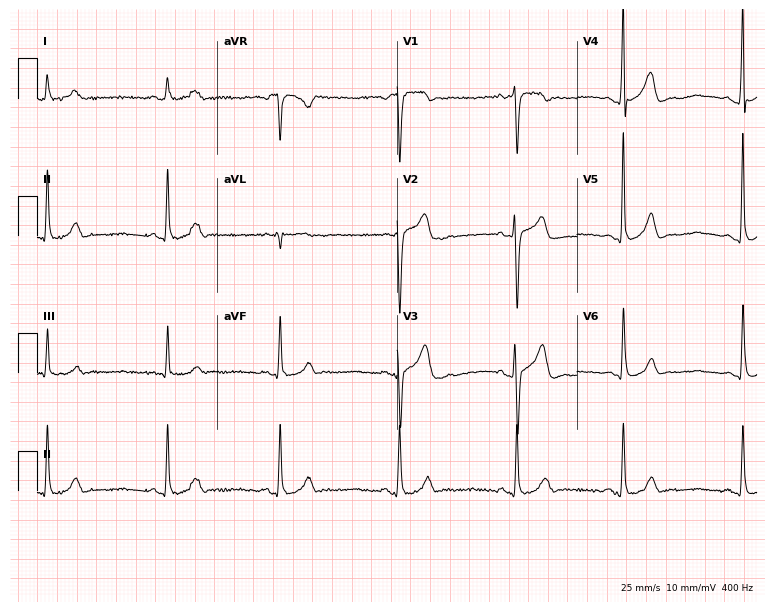
ECG — a 29-year-old man. Labelled as a normal ECG.